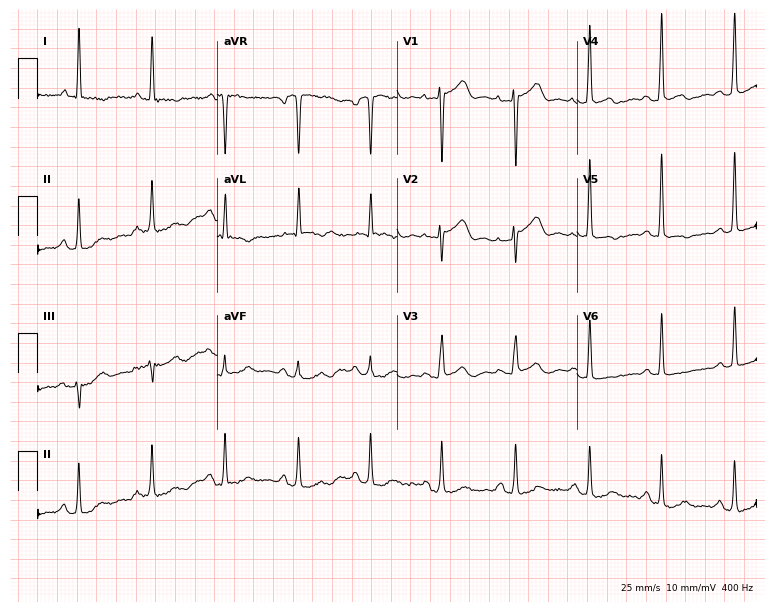
Electrocardiogram (7.3-second recording at 400 Hz), a 59-year-old woman. Of the six screened findings (first-degree AV block, right bundle branch block (RBBB), left bundle branch block (LBBB), sinus bradycardia, atrial fibrillation (AF), sinus tachycardia), none is recorded. Other findings, if any, are not listed.